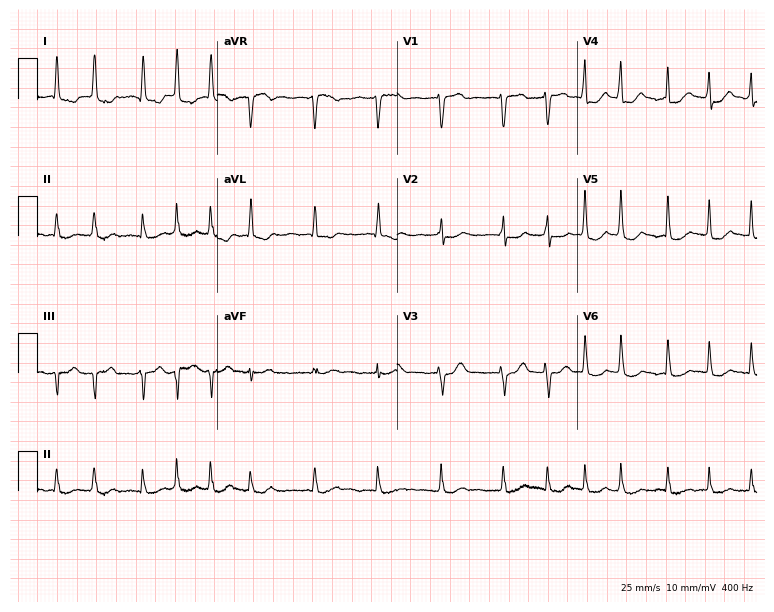
ECG (7.3-second recording at 400 Hz) — an 83-year-old male. Screened for six findings — first-degree AV block, right bundle branch block, left bundle branch block, sinus bradycardia, atrial fibrillation, sinus tachycardia — none is recorded. Other findings, if any, are not listed.